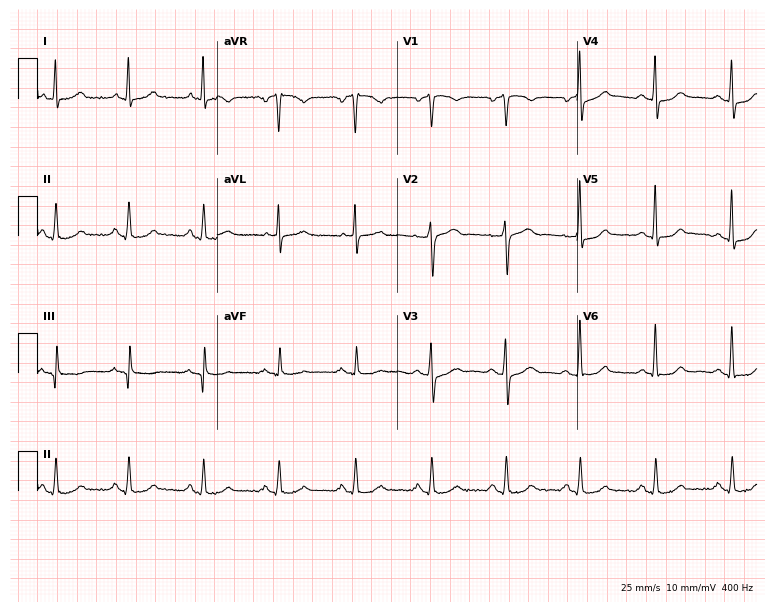
12-lead ECG (7.3-second recording at 400 Hz) from a male patient, 53 years old. Labelled as a normal ECG.